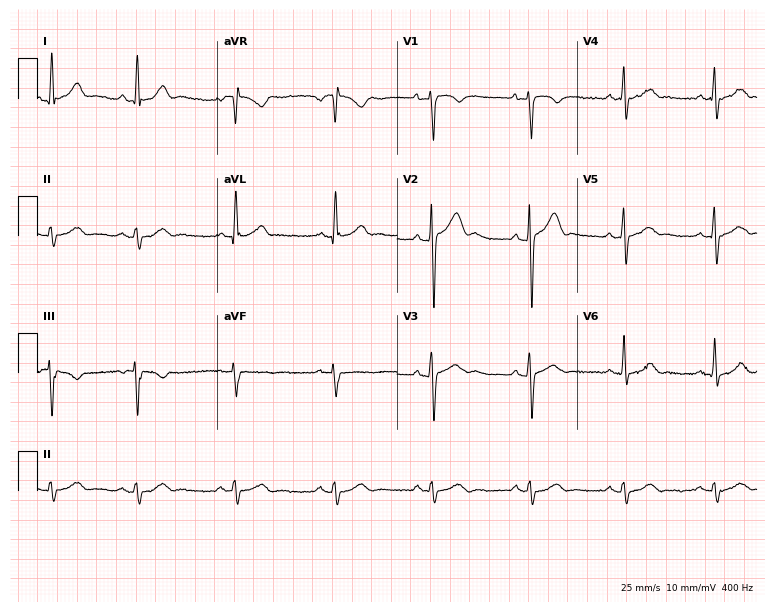
Standard 12-lead ECG recorded from a 29-year-old male patient. Read as a normal ECG.